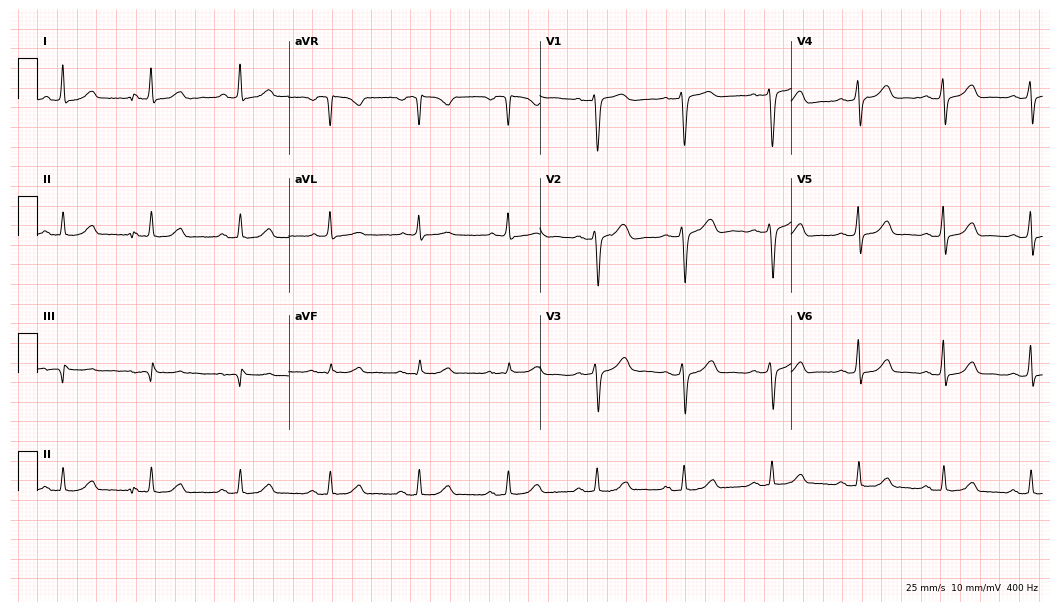
12-lead ECG (10.2-second recording at 400 Hz) from a woman, 56 years old. Screened for six findings — first-degree AV block, right bundle branch block, left bundle branch block, sinus bradycardia, atrial fibrillation, sinus tachycardia — none is recorded. Findings outside these six are not listed.